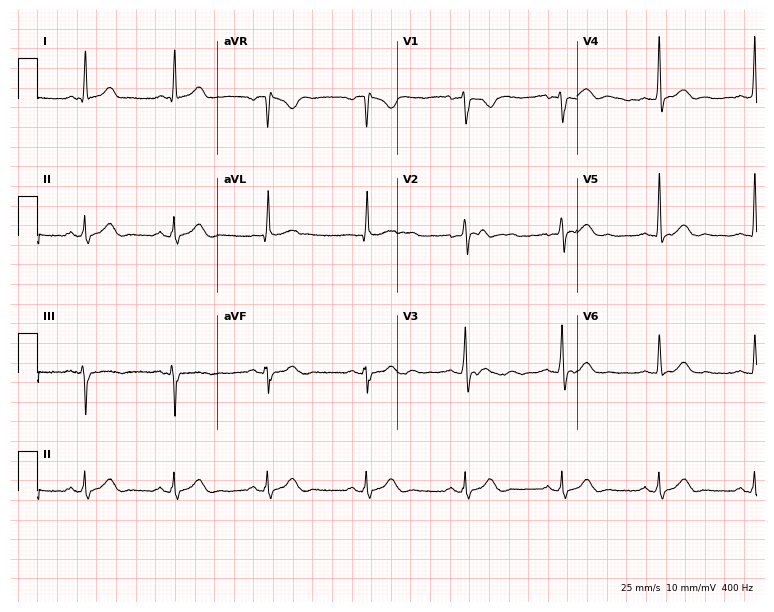
Resting 12-lead electrocardiogram. Patient: a male, 38 years old. Read as a normal ECG.